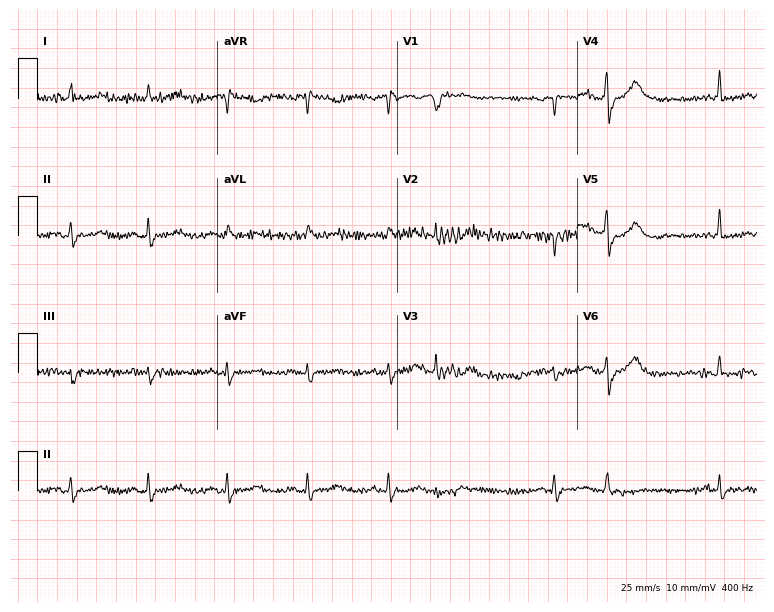
12-lead ECG from a 74-year-old woman. No first-degree AV block, right bundle branch block (RBBB), left bundle branch block (LBBB), sinus bradycardia, atrial fibrillation (AF) or sinus tachycardia recorded for this tracing. Findings outside these six are not listed.